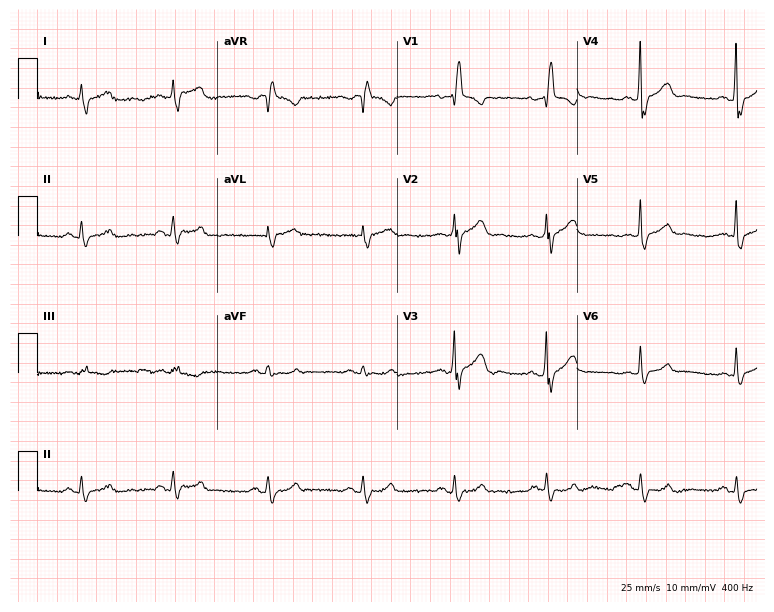
12-lead ECG from a male patient, 64 years old. Shows right bundle branch block.